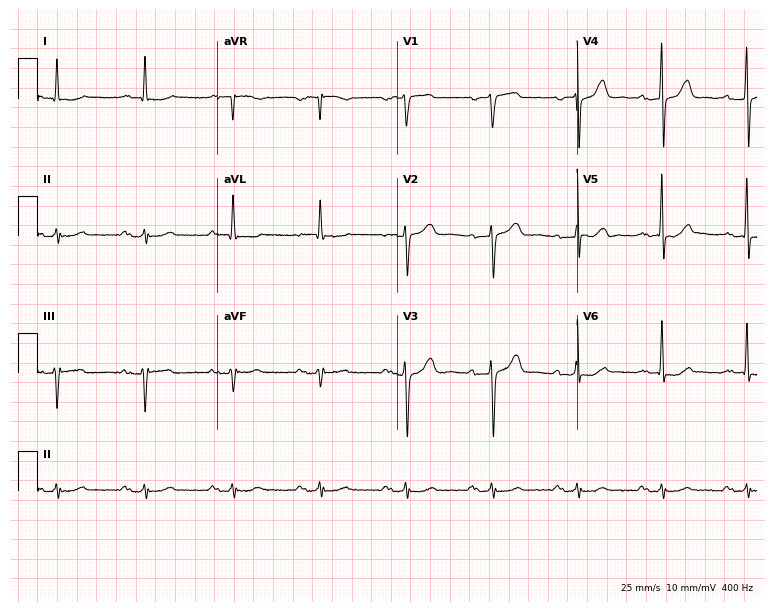
Electrocardiogram (7.3-second recording at 400 Hz), a man, 80 years old. Interpretation includes first-degree AV block.